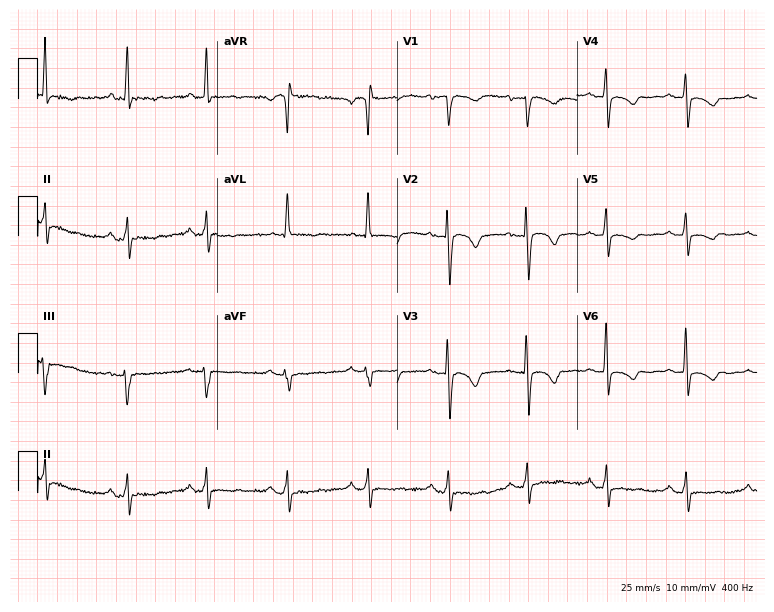
12-lead ECG from a female patient, 55 years old (7.3-second recording at 400 Hz). No first-degree AV block, right bundle branch block, left bundle branch block, sinus bradycardia, atrial fibrillation or sinus tachycardia recorded for this tracing.